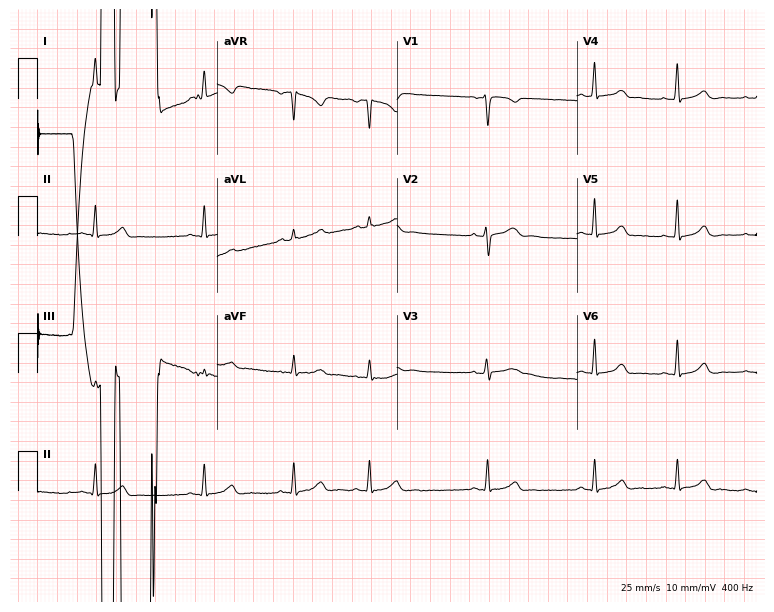
Electrocardiogram, a female patient, 20 years old. Of the six screened findings (first-degree AV block, right bundle branch block, left bundle branch block, sinus bradycardia, atrial fibrillation, sinus tachycardia), none is recorded.